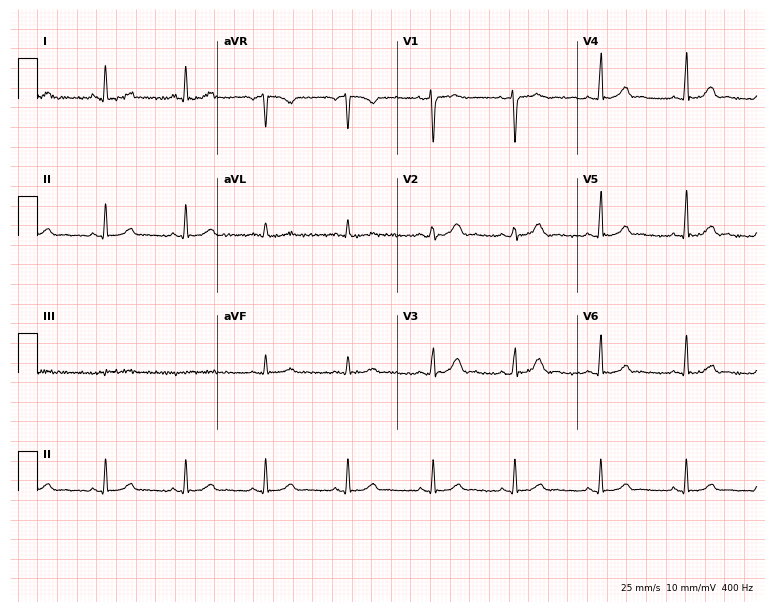
Resting 12-lead electrocardiogram (7.3-second recording at 400 Hz). Patient: a 23-year-old woman. Read as a normal ECG.